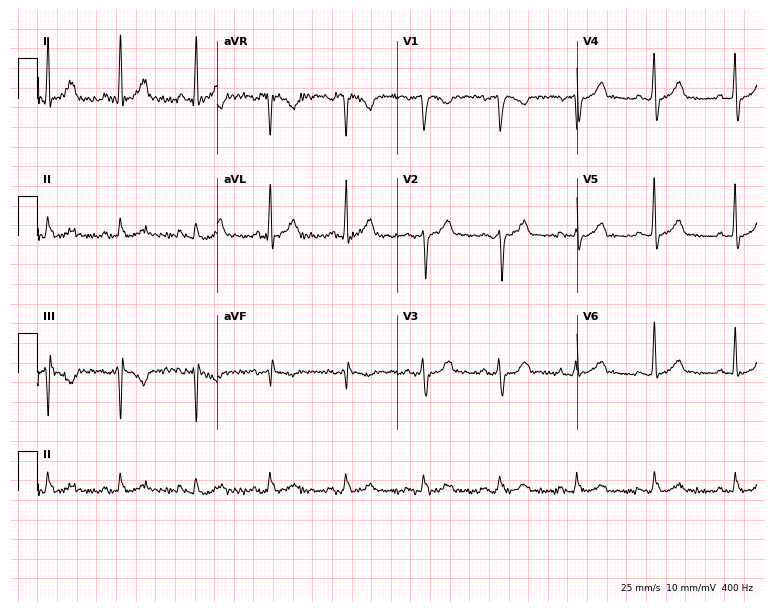
Resting 12-lead electrocardiogram (7.3-second recording at 400 Hz). Patient: a 66-year-old man. Read as a normal ECG.